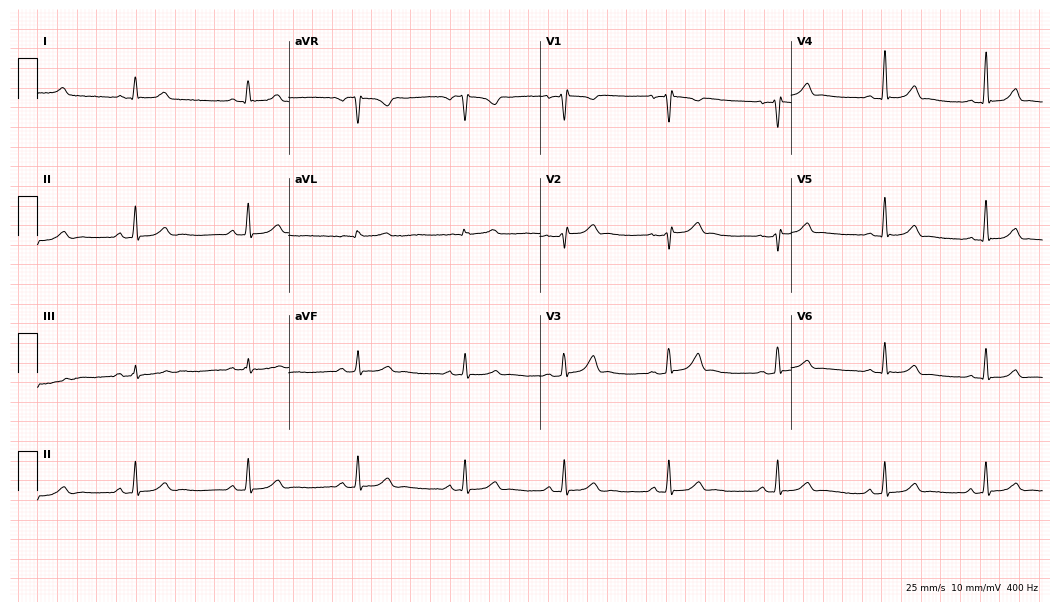
12-lead ECG from a woman, 19 years old (10.2-second recording at 400 Hz). No first-degree AV block, right bundle branch block (RBBB), left bundle branch block (LBBB), sinus bradycardia, atrial fibrillation (AF) or sinus tachycardia recorded for this tracing.